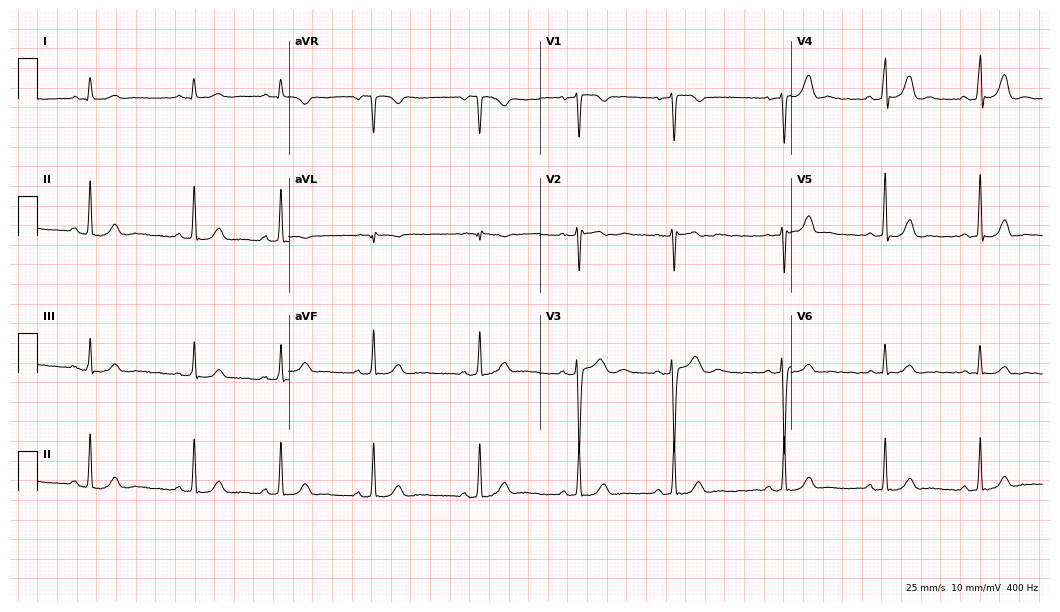
12-lead ECG (10.2-second recording at 400 Hz) from a 24-year-old female. Labelled as a normal ECG.